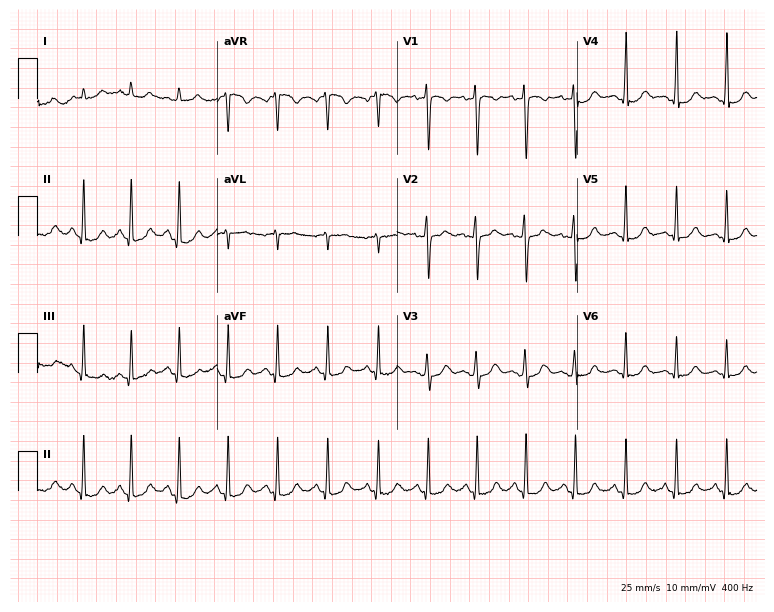
12-lead ECG (7.3-second recording at 400 Hz) from a female, 20 years old. Findings include sinus tachycardia (a sinus rate of 100 beats per minute or more).